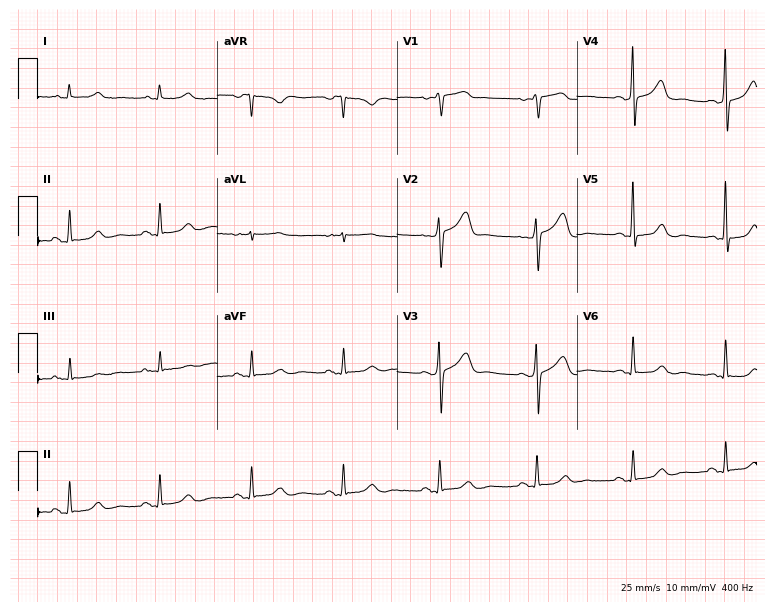
12-lead ECG from a 59-year-old female patient. No first-degree AV block, right bundle branch block, left bundle branch block, sinus bradycardia, atrial fibrillation or sinus tachycardia recorded for this tracing. Only these six findings were labelled.